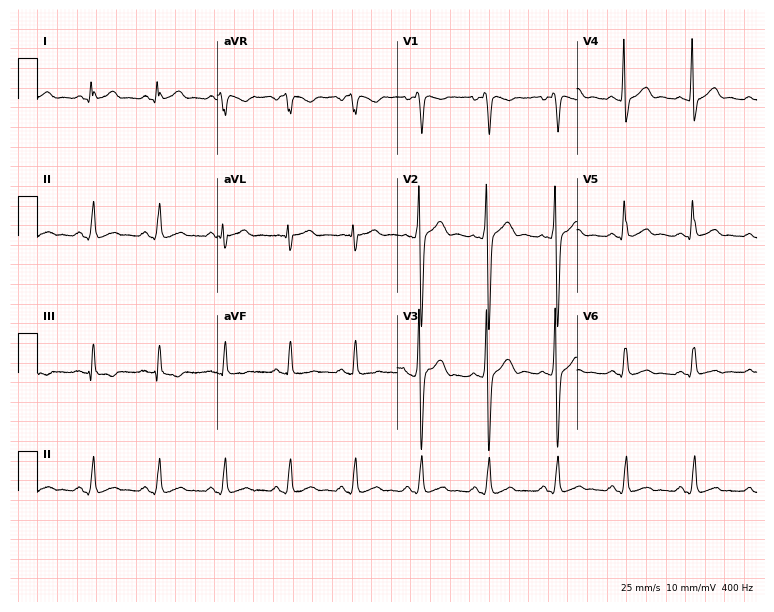
Resting 12-lead electrocardiogram (7.3-second recording at 400 Hz). Patient: a male, 20 years old. None of these six findings is recorded: first-degree AV block, right bundle branch block, left bundle branch block, sinus bradycardia, atrial fibrillation, sinus tachycardia. Findings outside these six are not listed.